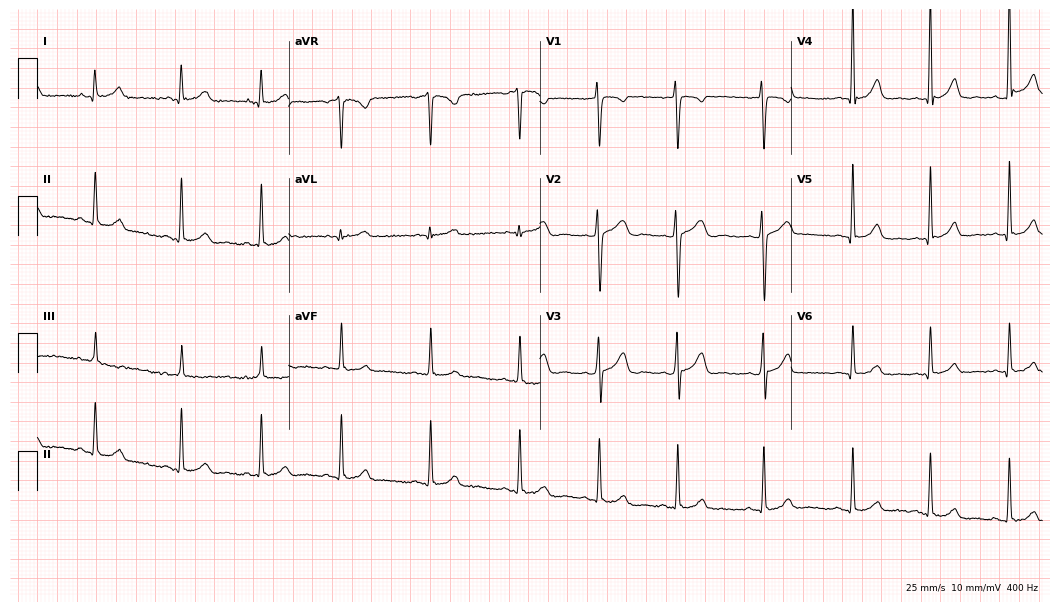
ECG — a female, 20 years old. Labelled as a normal ECG.